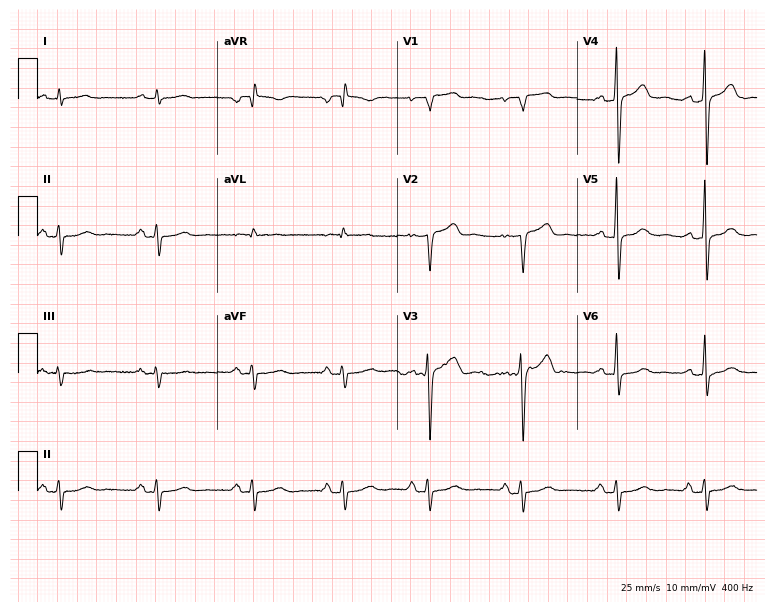
Standard 12-lead ECG recorded from a male, 48 years old (7.3-second recording at 400 Hz). None of these six findings is recorded: first-degree AV block, right bundle branch block, left bundle branch block, sinus bradycardia, atrial fibrillation, sinus tachycardia.